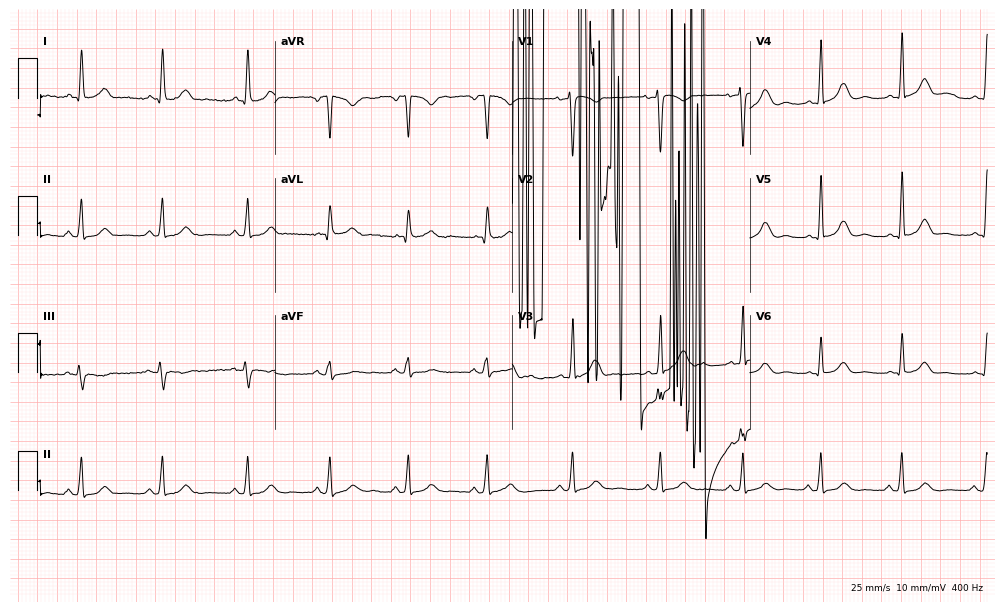
12-lead ECG from a 37-year-old female patient. Screened for six findings — first-degree AV block, right bundle branch block, left bundle branch block, sinus bradycardia, atrial fibrillation, sinus tachycardia — none is recorded.